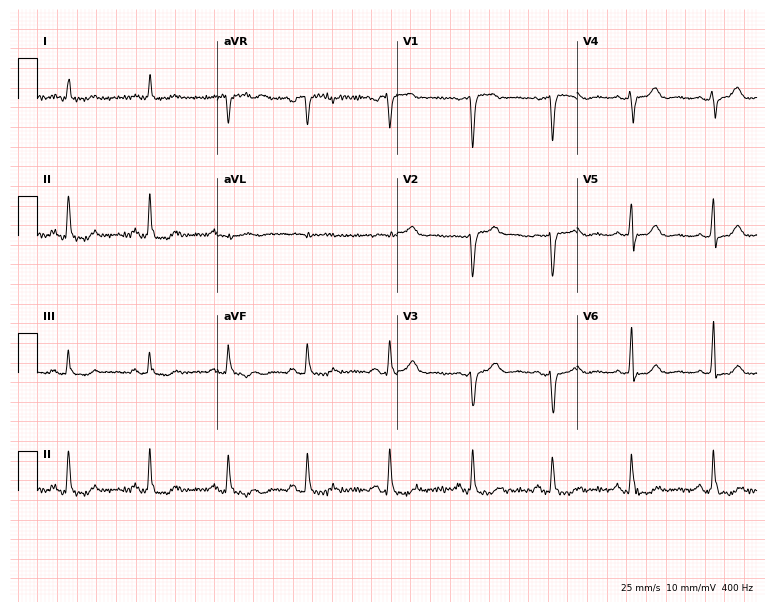
Standard 12-lead ECG recorded from a 69-year-old female (7.3-second recording at 400 Hz). None of these six findings is recorded: first-degree AV block, right bundle branch block, left bundle branch block, sinus bradycardia, atrial fibrillation, sinus tachycardia. Findings outside these six are not listed.